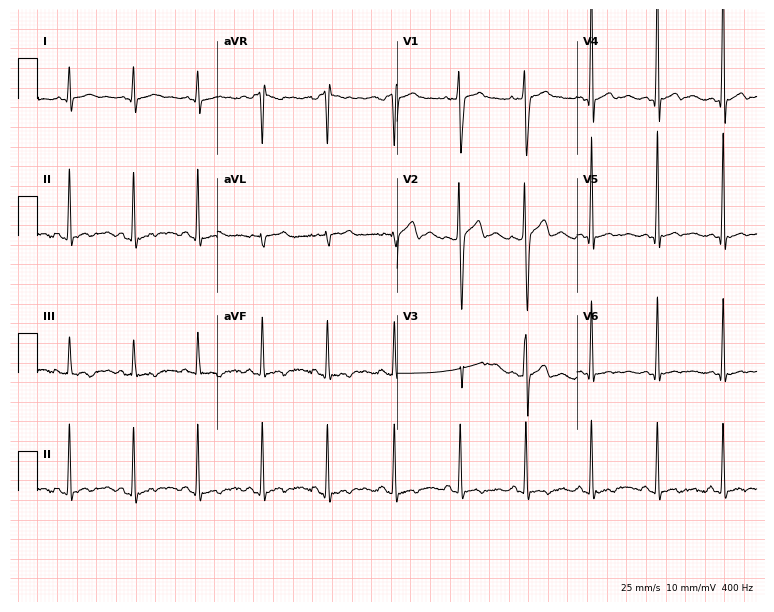
12-lead ECG from a 17-year-old man. Screened for six findings — first-degree AV block, right bundle branch block (RBBB), left bundle branch block (LBBB), sinus bradycardia, atrial fibrillation (AF), sinus tachycardia — none is recorded.